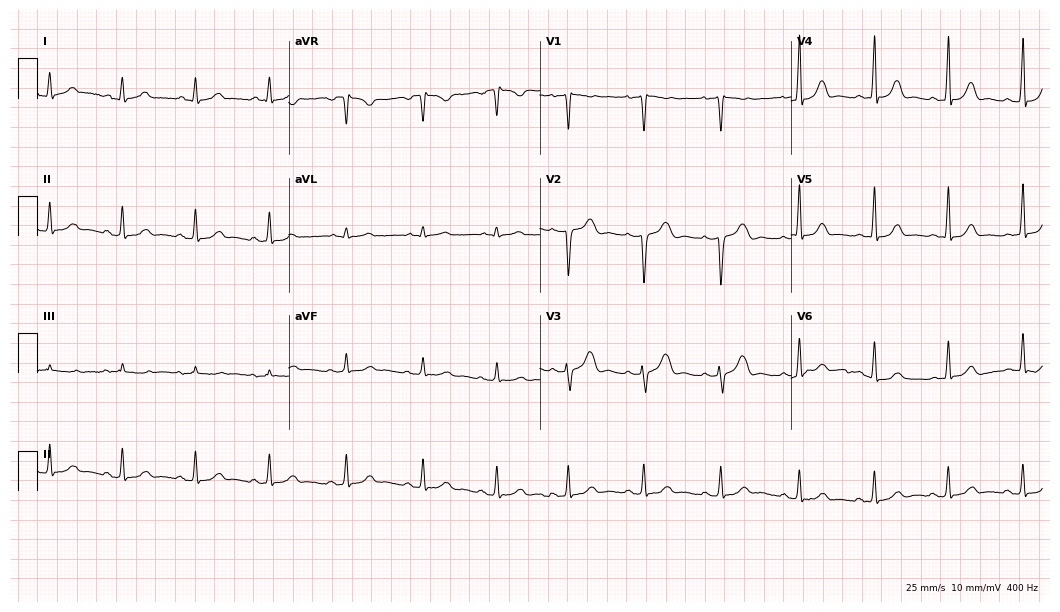
12-lead ECG from a 29-year-old woman. Recorded interpretation: within normal limits.